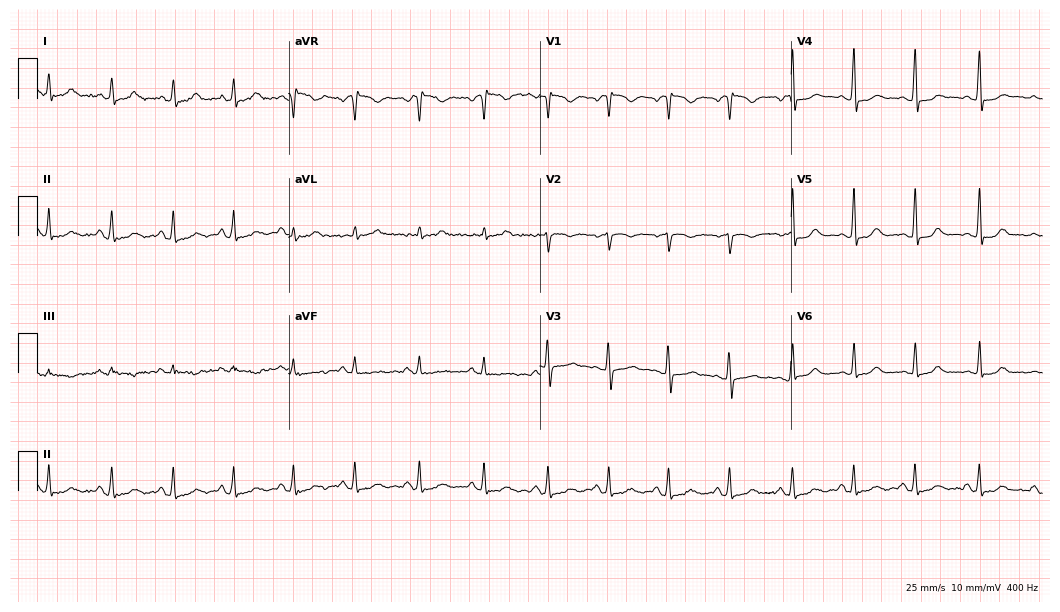
ECG — a 25-year-old woman. Screened for six findings — first-degree AV block, right bundle branch block, left bundle branch block, sinus bradycardia, atrial fibrillation, sinus tachycardia — none is recorded.